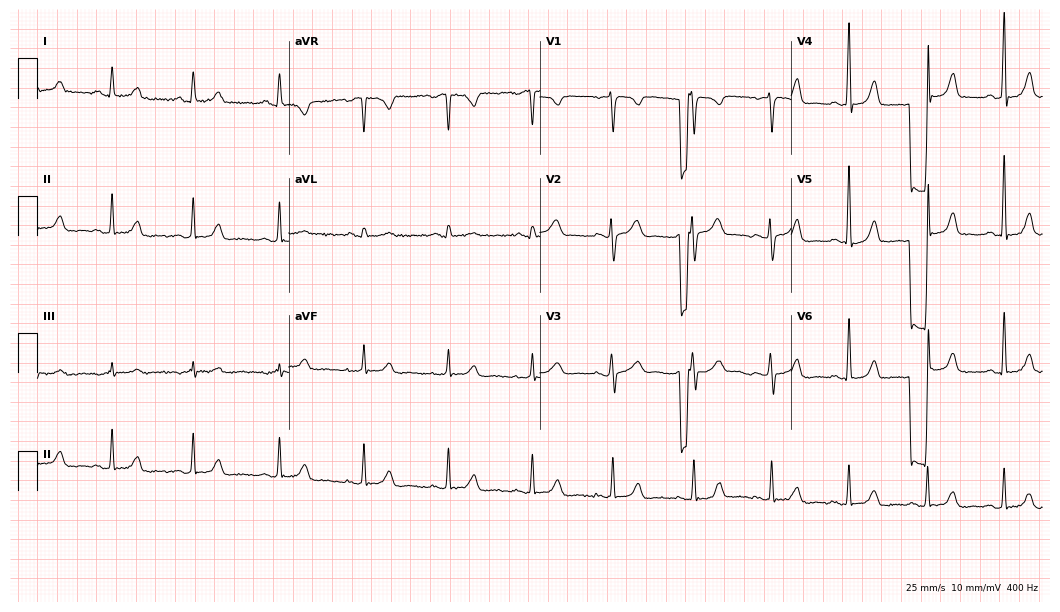
Electrocardiogram (10.2-second recording at 400 Hz), a woman, 41 years old. Of the six screened findings (first-degree AV block, right bundle branch block, left bundle branch block, sinus bradycardia, atrial fibrillation, sinus tachycardia), none is recorded. Only these six findings were labelled.